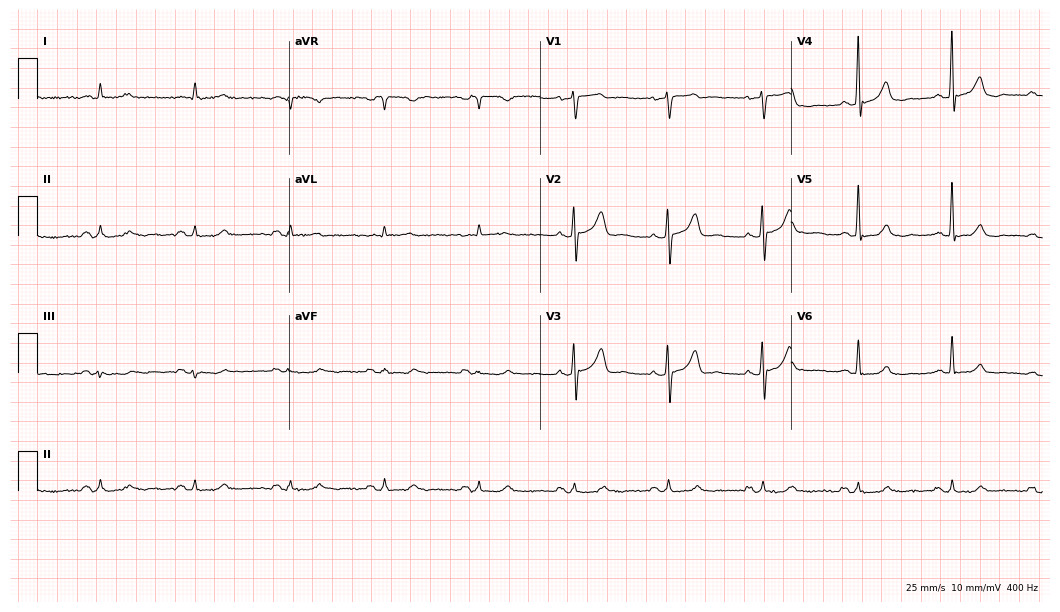
Electrocardiogram (10.2-second recording at 400 Hz), a male, 73 years old. Of the six screened findings (first-degree AV block, right bundle branch block, left bundle branch block, sinus bradycardia, atrial fibrillation, sinus tachycardia), none is recorded.